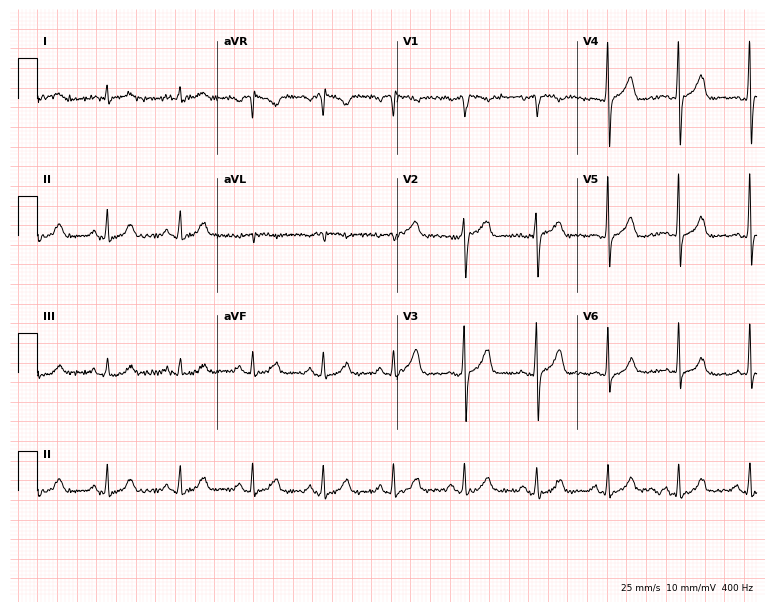
12-lead ECG from a man, 60 years old (7.3-second recording at 400 Hz). Recorded interpretation: within normal limits.